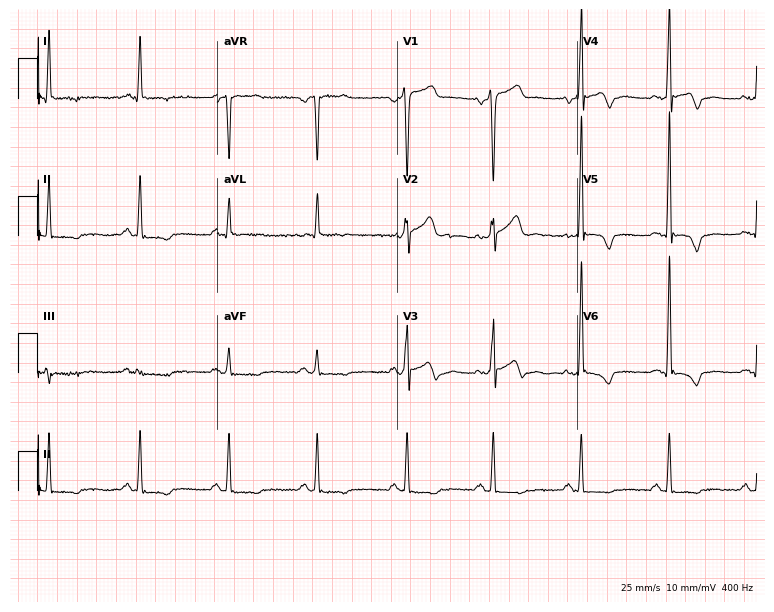
ECG (7.3-second recording at 400 Hz) — a male, 49 years old. Screened for six findings — first-degree AV block, right bundle branch block, left bundle branch block, sinus bradycardia, atrial fibrillation, sinus tachycardia — none is recorded. Only these six findings were labelled.